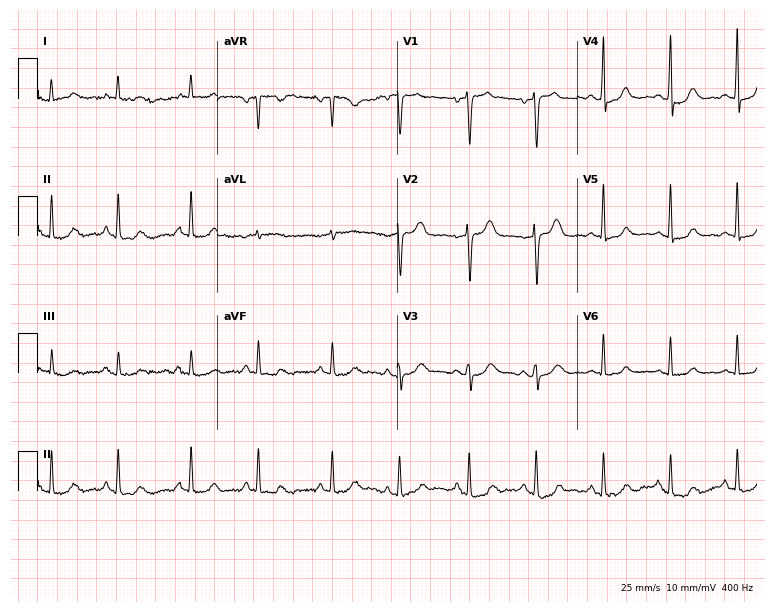
12-lead ECG from a 48-year-old female patient. Recorded interpretation: within normal limits.